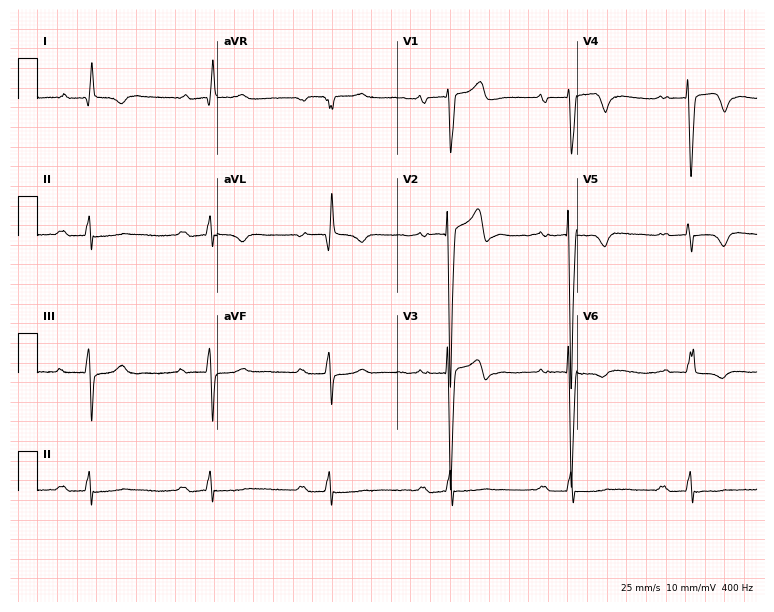
ECG — a 56-year-old man. Findings include first-degree AV block, sinus bradycardia (a sinus rate of 50 beats per minute or less).